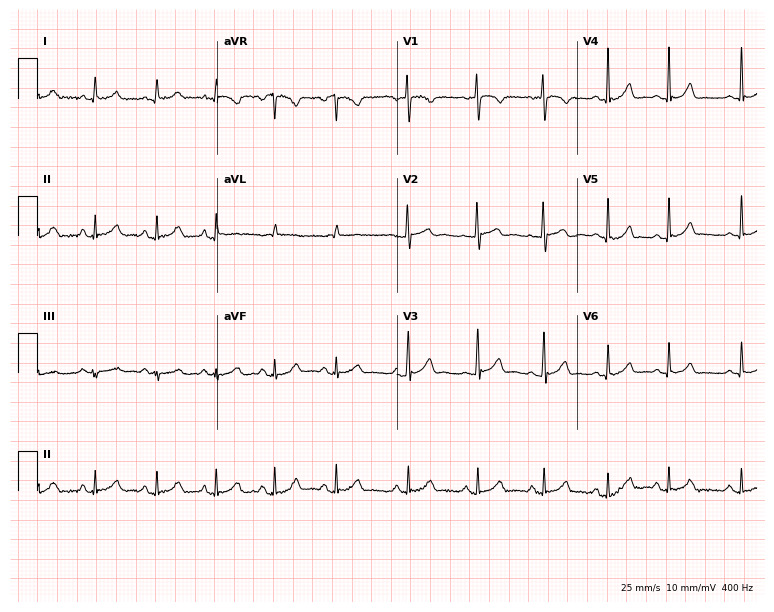
ECG — a female patient, 33 years old. Screened for six findings — first-degree AV block, right bundle branch block, left bundle branch block, sinus bradycardia, atrial fibrillation, sinus tachycardia — none is recorded. Findings outside these six are not listed.